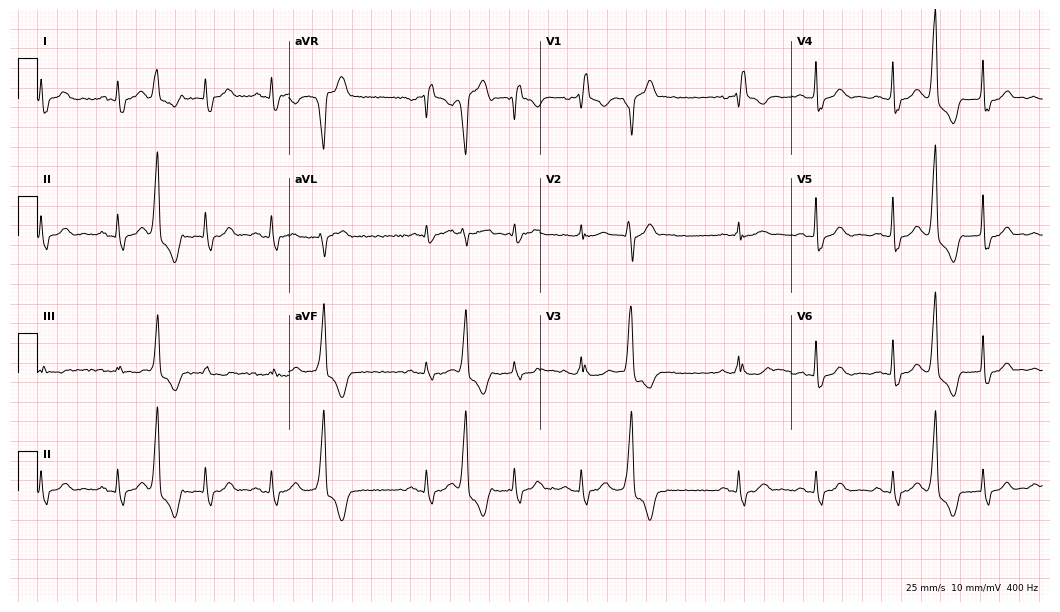
Standard 12-lead ECG recorded from a male, 64 years old. The tracing shows right bundle branch block (RBBB).